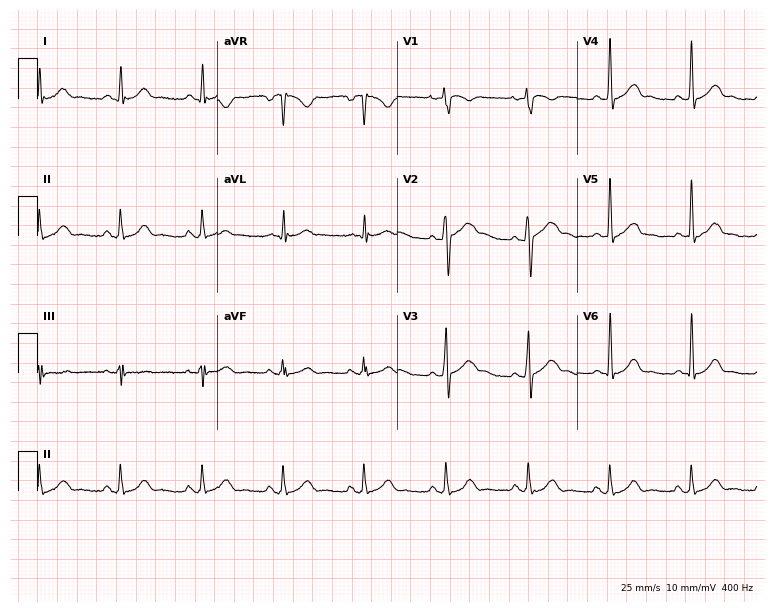
12-lead ECG from a male, 36 years old. Recorded interpretation: within normal limits.